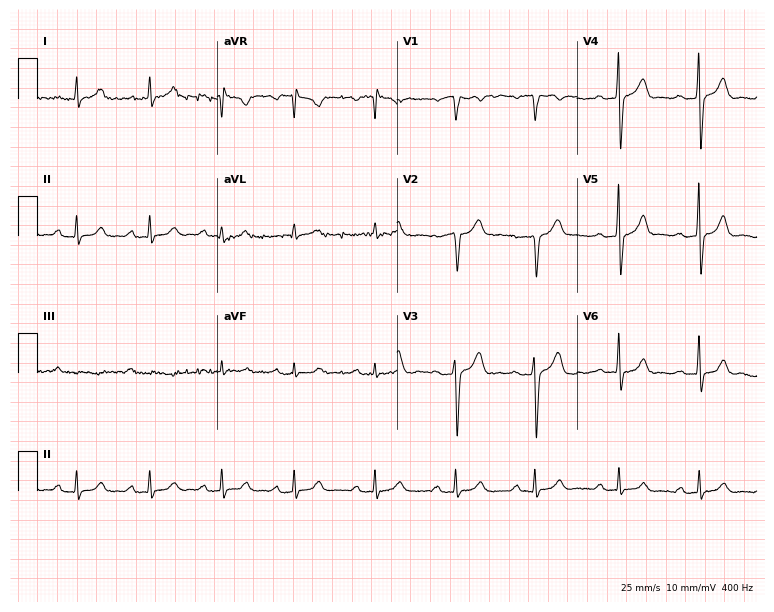
12-lead ECG (7.3-second recording at 400 Hz) from a 51-year-old male patient. Screened for six findings — first-degree AV block, right bundle branch block (RBBB), left bundle branch block (LBBB), sinus bradycardia, atrial fibrillation (AF), sinus tachycardia — none is recorded. Findings outside these six are not listed.